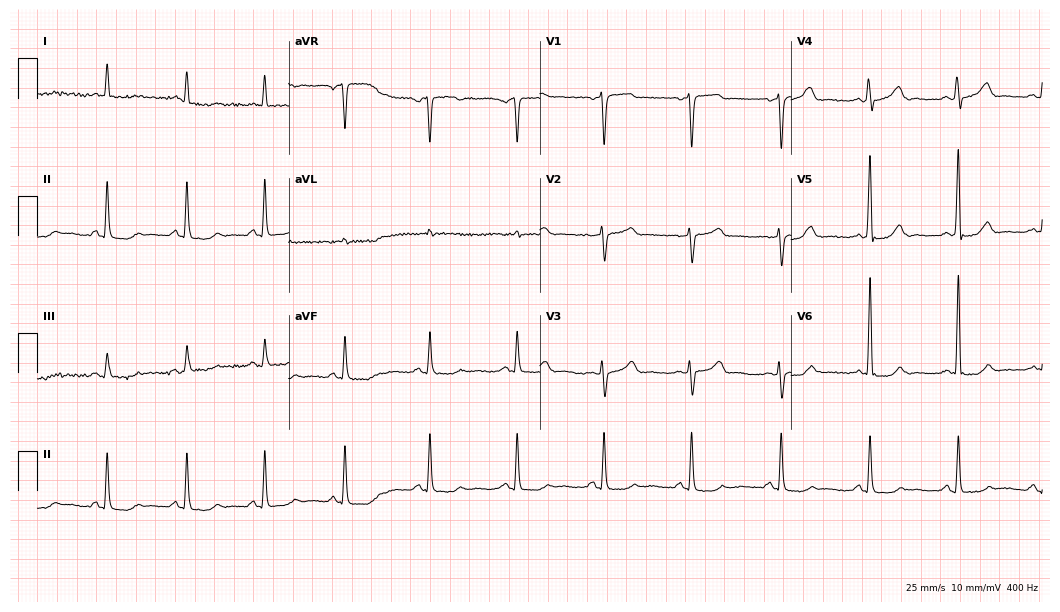
Resting 12-lead electrocardiogram (10.2-second recording at 400 Hz). Patient: a 56-year-old woman. None of these six findings is recorded: first-degree AV block, right bundle branch block, left bundle branch block, sinus bradycardia, atrial fibrillation, sinus tachycardia.